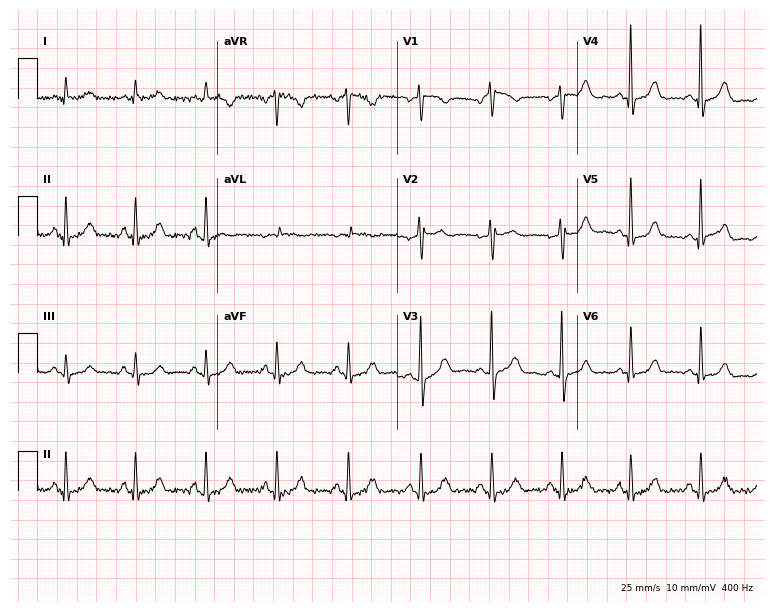
Standard 12-lead ECG recorded from a female, 51 years old. Read as a normal ECG.